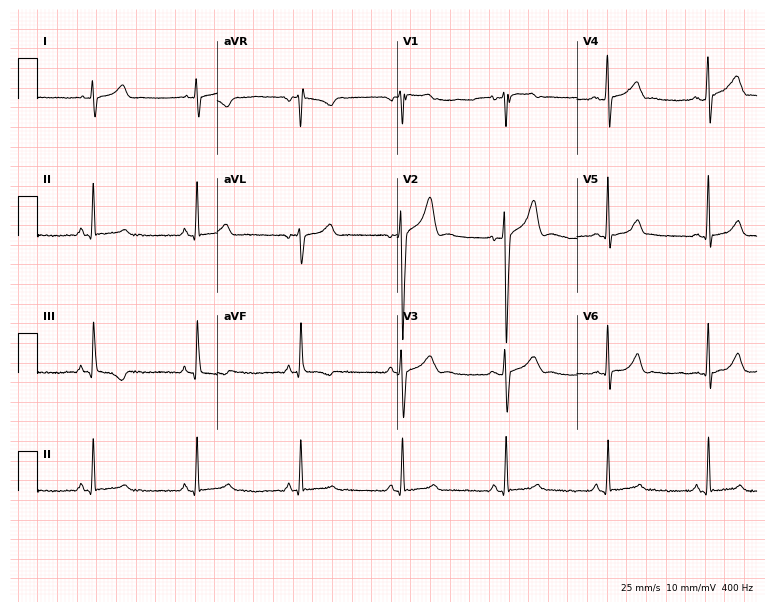
12-lead ECG from a male, 17 years old. No first-degree AV block, right bundle branch block, left bundle branch block, sinus bradycardia, atrial fibrillation or sinus tachycardia recorded for this tracing.